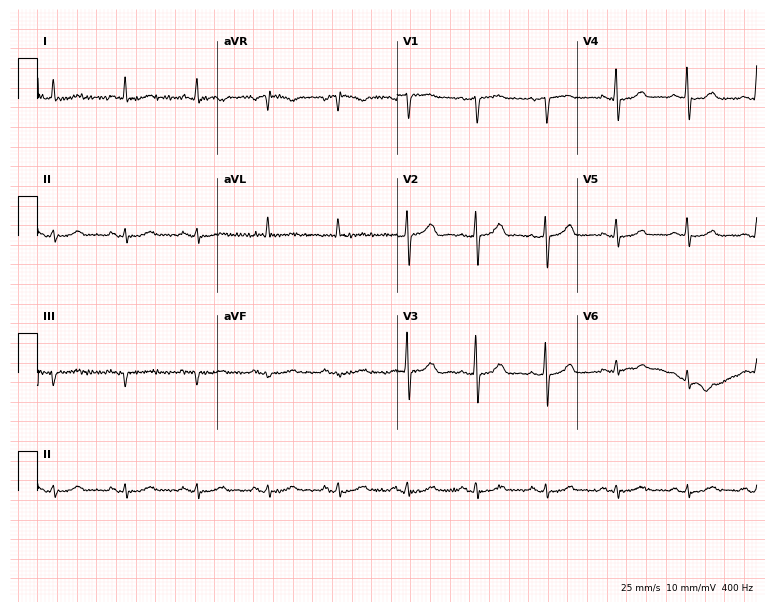
Electrocardiogram (7.3-second recording at 400 Hz), a man, 84 years old. Of the six screened findings (first-degree AV block, right bundle branch block, left bundle branch block, sinus bradycardia, atrial fibrillation, sinus tachycardia), none is recorded. Findings outside these six are not listed.